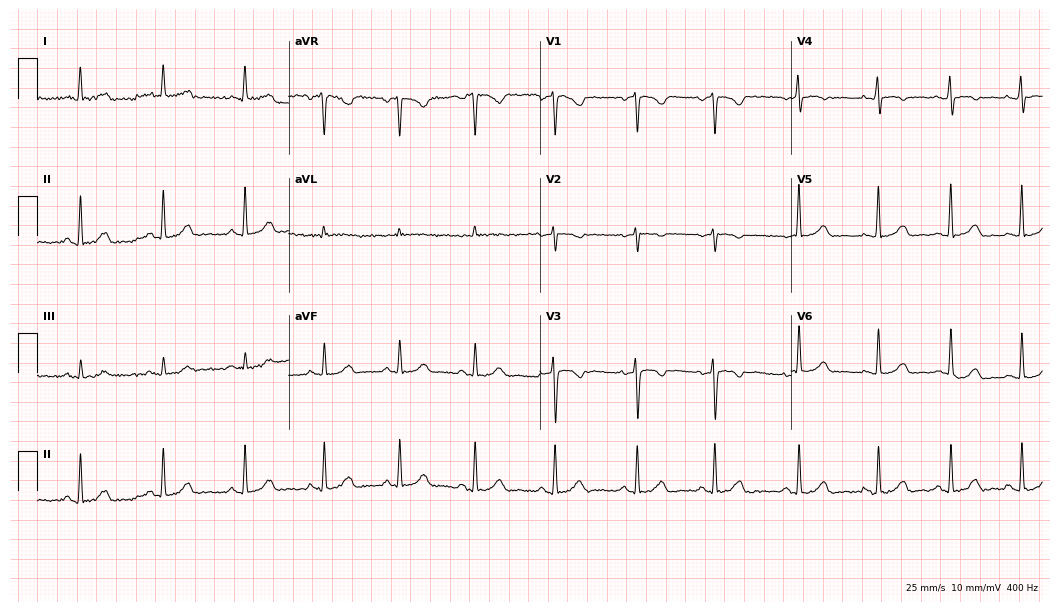
Standard 12-lead ECG recorded from a 30-year-old woman (10.2-second recording at 400 Hz). None of these six findings is recorded: first-degree AV block, right bundle branch block, left bundle branch block, sinus bradycardia, atrial fibrillation, sinus tachycardia.